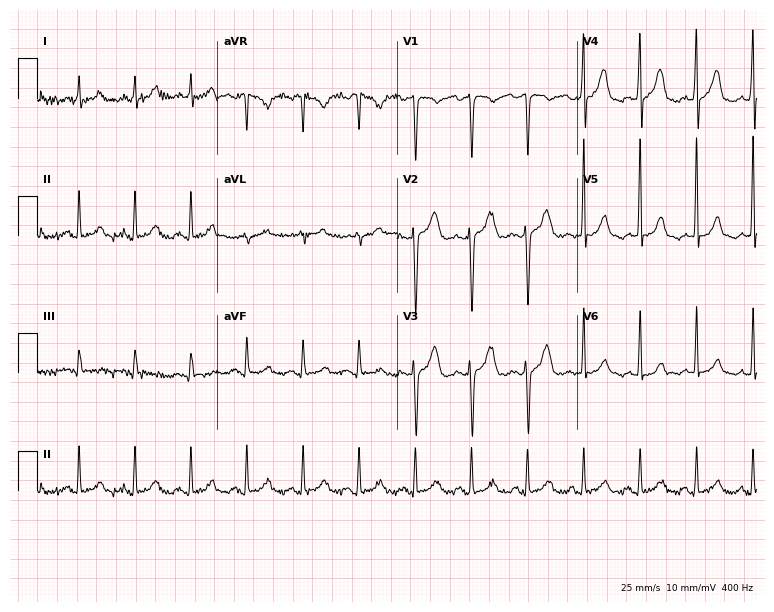
12-lead ECG from a man, 45 years old (7.3-second recording at 400 Hz). Shows sinus tachycardia (a sinus rate of 100 beats per minute or more).